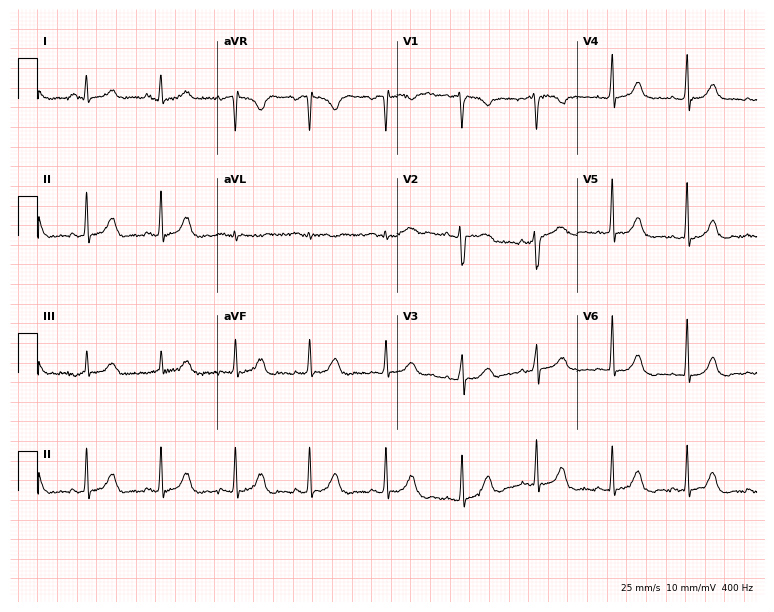
Resting 12-lead electrocardiogram. Patient: a woman, 41 years old. Read as a normal ECG.